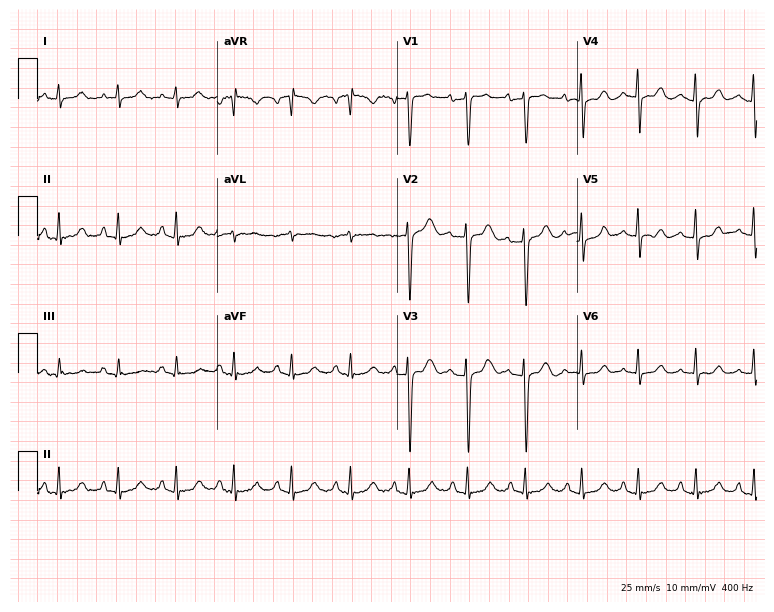
ECG (7.3-second recording at 400 Hz) — a female patient, 36 years old. Labelled as a normal ECG.